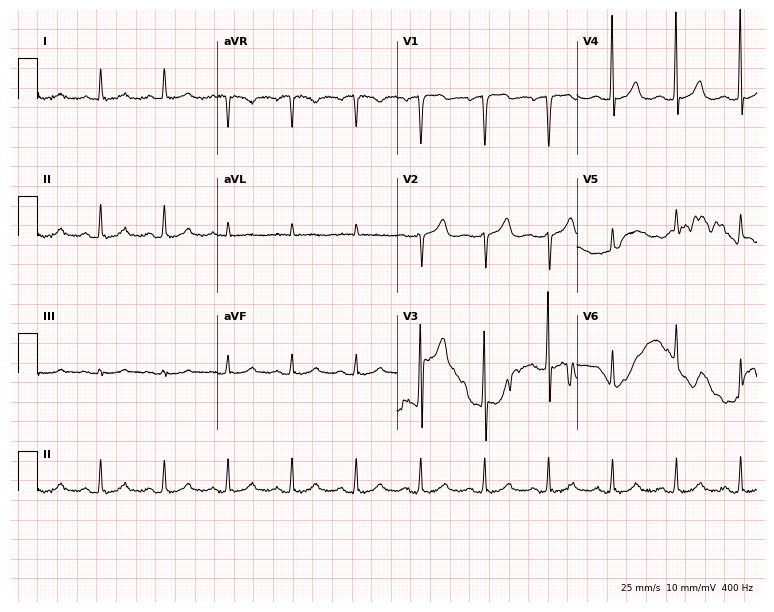
12-lead ECG from a 48-year-old male. Recorded interpretation: within normal limits.